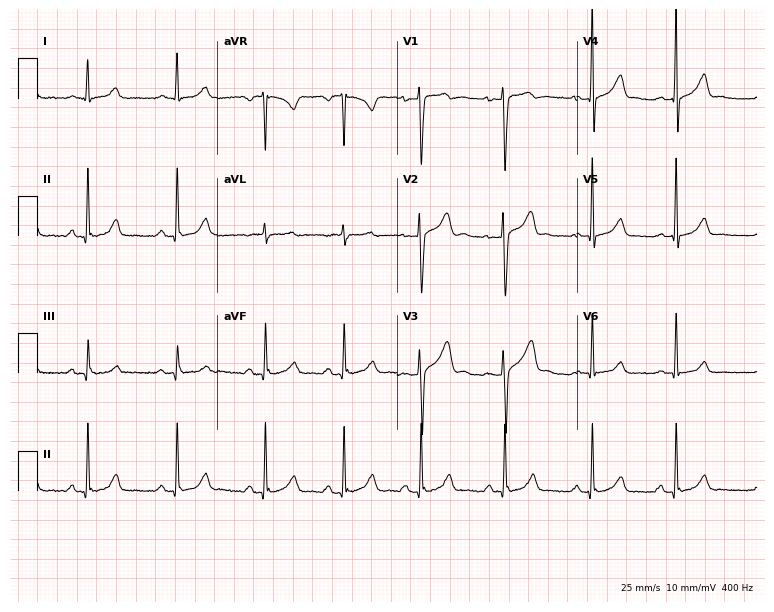
Resting 12-lead electrocardiogram (7.3-second recording at 400 Hz). Patient: a woman, 34 years old. Read as a normal ECG.